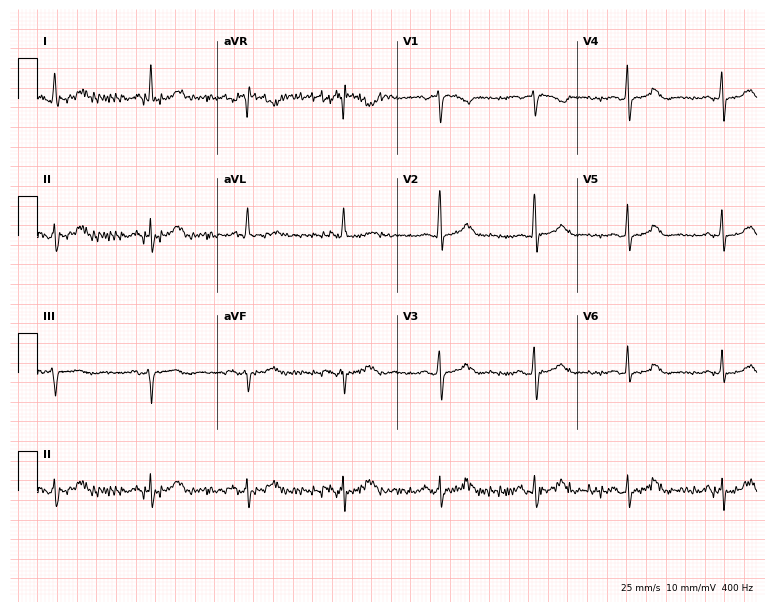
ECG (7.3-second recording at 400 Hz) — a 62-year-old woman. Screened for six findings — first-degree AV block, right bundle branch block, left bundle branch block, sinus bradycardia, atrial fibrillation, sinus tachycardia — none is recorded. Only these six findings were labelled.